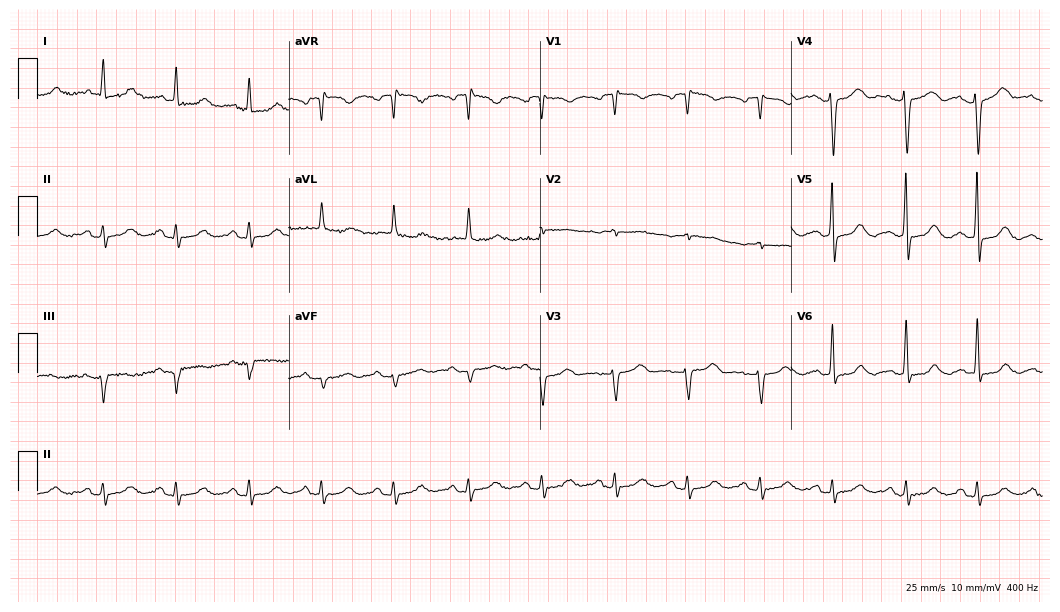
ECG — a female, 81 years old. Screened for six findings — first-degree AV block, right bundle branch block, left bundle branch block, sinus bradycardia, atrial fibrillation, sinus tachycardia — none is recorded.